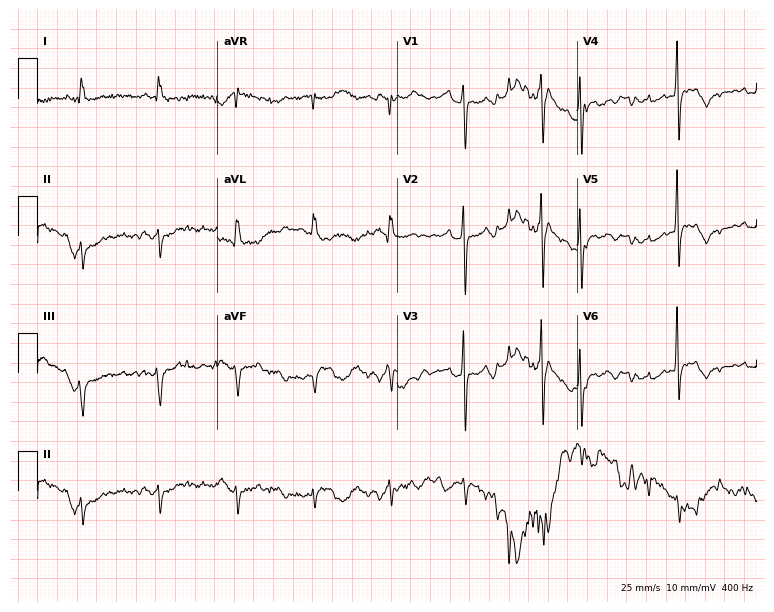
12-lead ECG from a female patient, 81 years old. Screened for six findings — first-degree AV block, right bundle branch block (RBBB), left bundle branch block (LBBB), sinus bradycardia, atrial fibrillation (AF), sinus tachycardia — none is recorded.